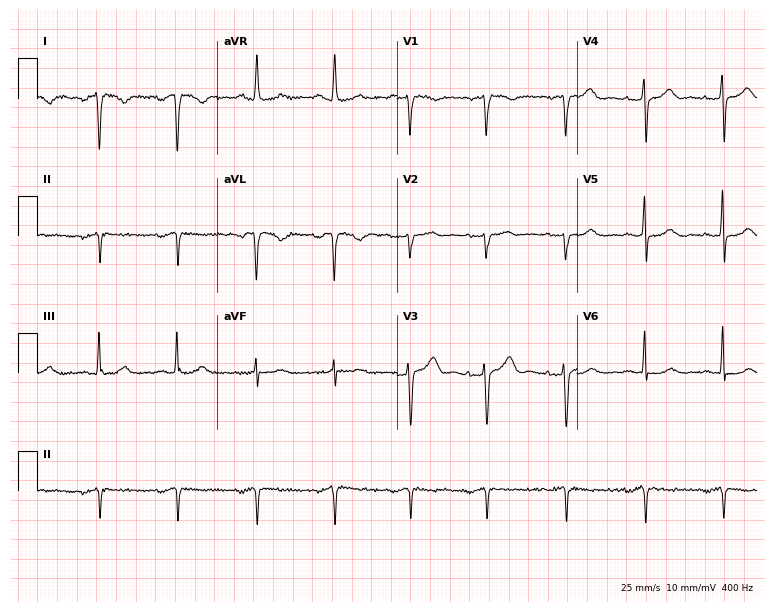
12-lead ECG from a female patient, 75 years old. Screened for six findings — first-degree AV block, right bundle branch block, left bundle branch block, sinus bradycardia, atrial fibrillation, sinus tachycardia — none is recorded.